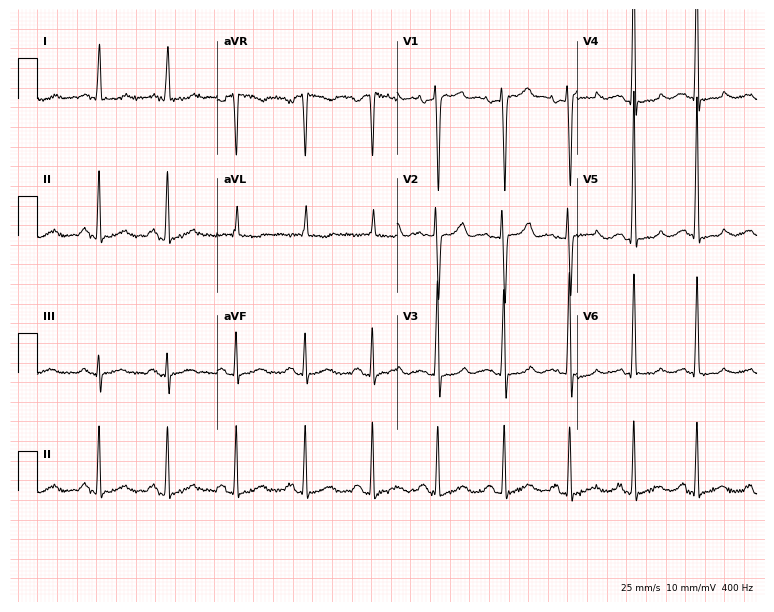
Standard 12-lead ECG recorded from a 70-year-old female. None of these six findings is recorded: first-degree AV block, right bundle branch block (RBBB), left bundle branch block (LBBB), sinus bradycardia, atrial fibrillation (AF), sinus tachycardia. Only these six findings were labelled.